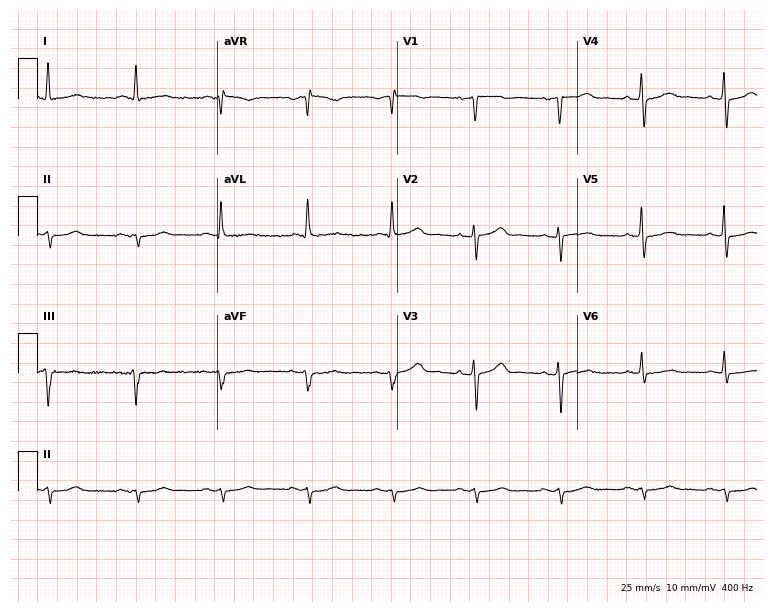
ECG — a 54-year-old male. Screened for six findings — first-degree AV block, right bundle branch block (RBBB), left bundle branch block (LBBB), sinus bradycardia, atrial fibrillation (AF), sinus tachycardia — none is recorded. Other findings, if any, are not listed.